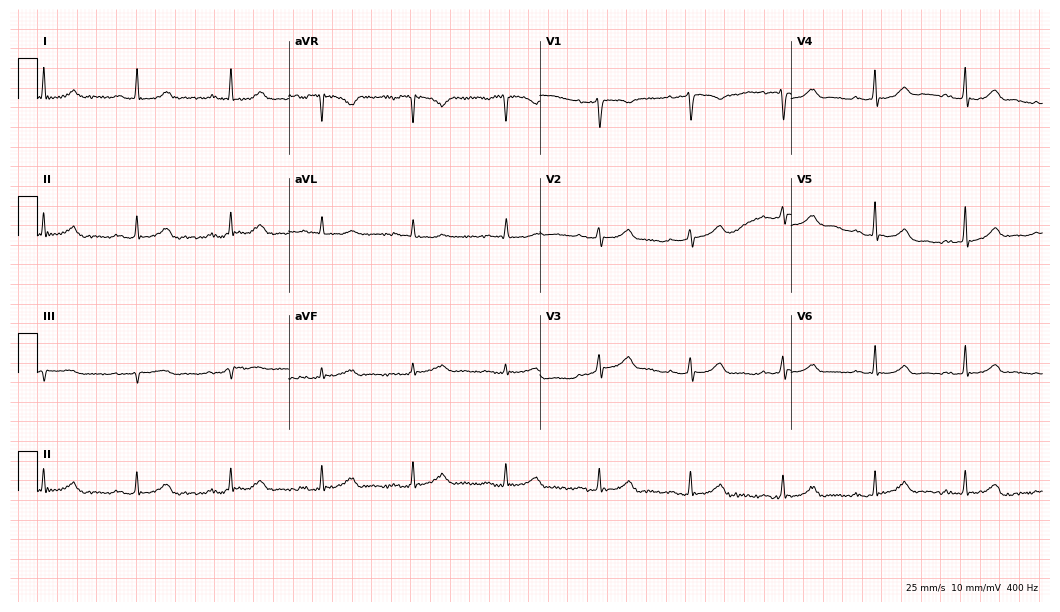
ECG (10.2-second recording at 400 Hz) — a female patient, 69 years old. Labelled as a normal ECG.